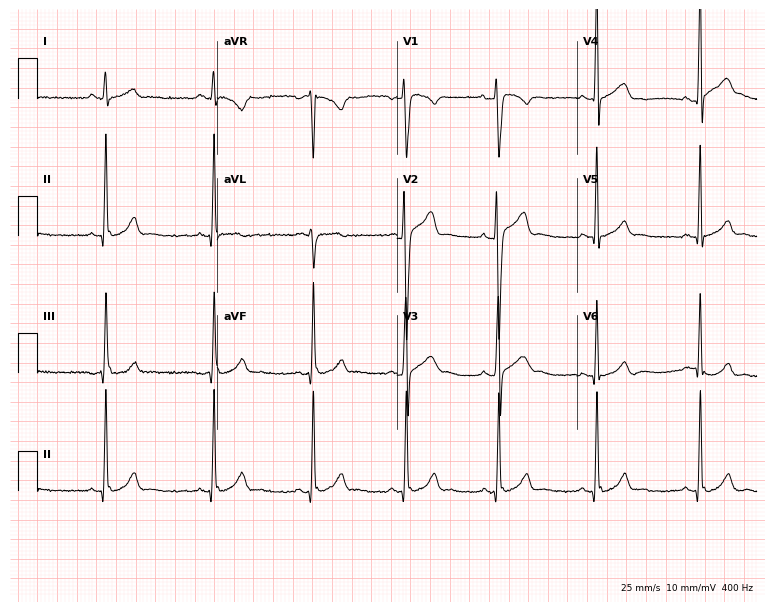
Resting 12-lead electrocardiogram (7.3-second recording at 400 Hz). Patient: a man, 26 years old. None of these six findings is recorded: first-degree AV block, right bundle branch block, left bundle branch block, sinus bradycardia, atrial fibrillation, sinus tachycardia.